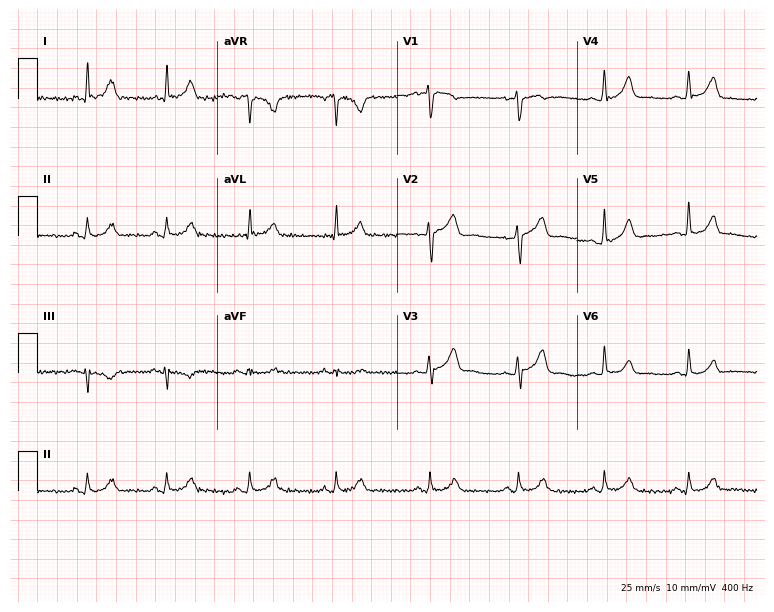
ECG (7.3-second recording at 400 Hz) — a man, 55 years old. Labelled as a normal ECG.